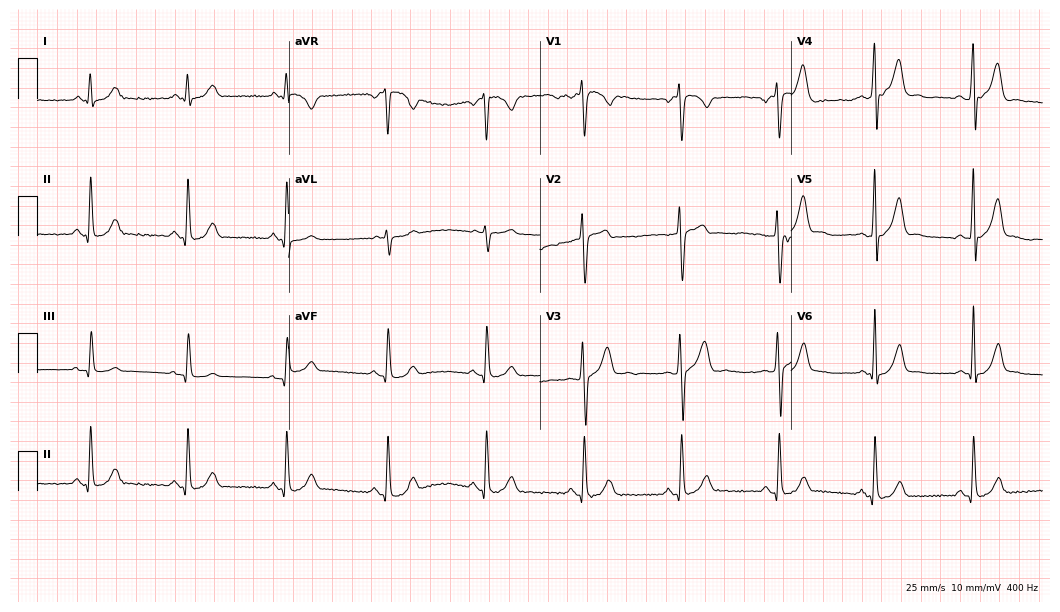
Electrocardiogram, a 33-year-old male. Overall reading on record: normal ECG.